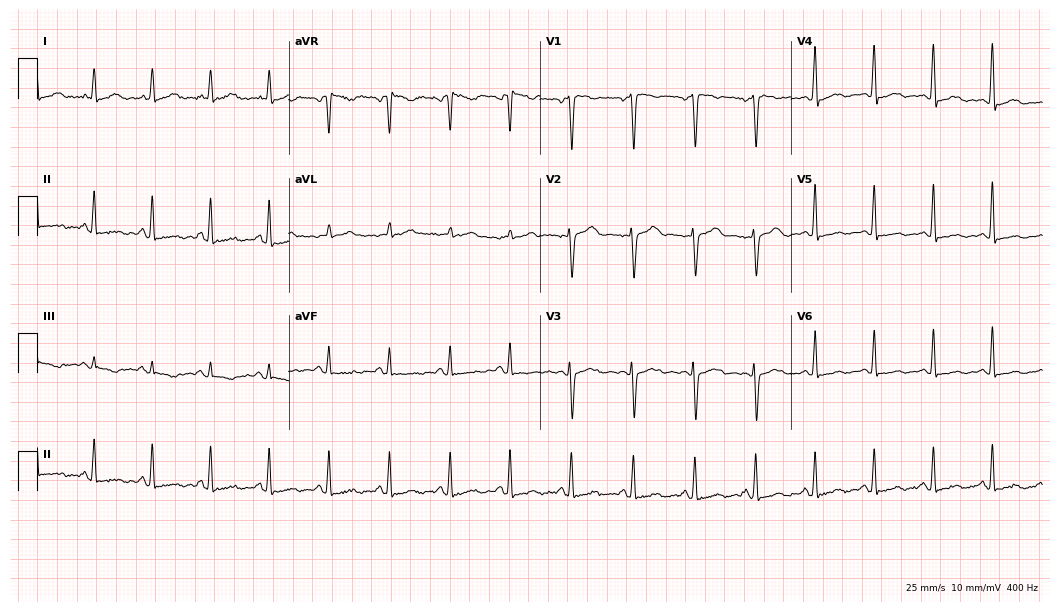
Standard 12-lead ECG recorded from a 32-year-old female (10.2-second recording at 400 Hz). None of these six findings is recorded: first-degree AV block, right bundle branch block, left bundle branch block, sinus bradycardia, atrial fibrillation, sinus tachycardia. Only these six findings were labelled.